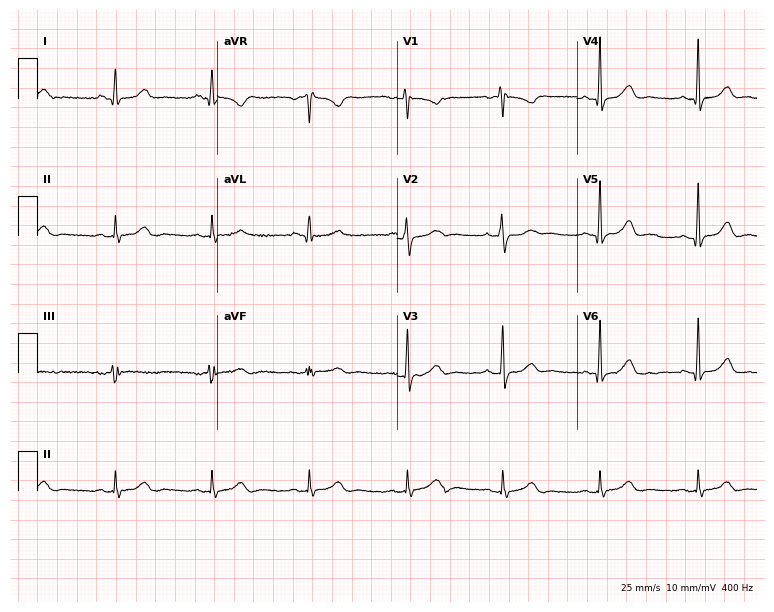
Resting 12-lead electrocardiogram (7.3-second recording at 400 Hz). Patient: a 44-year-old female. None of these six findings is recorded: first-degree AV block, right bundle branch block, left bundle branch block, sinus bradycardia, atrial fibrillation, sinus tachycardia.